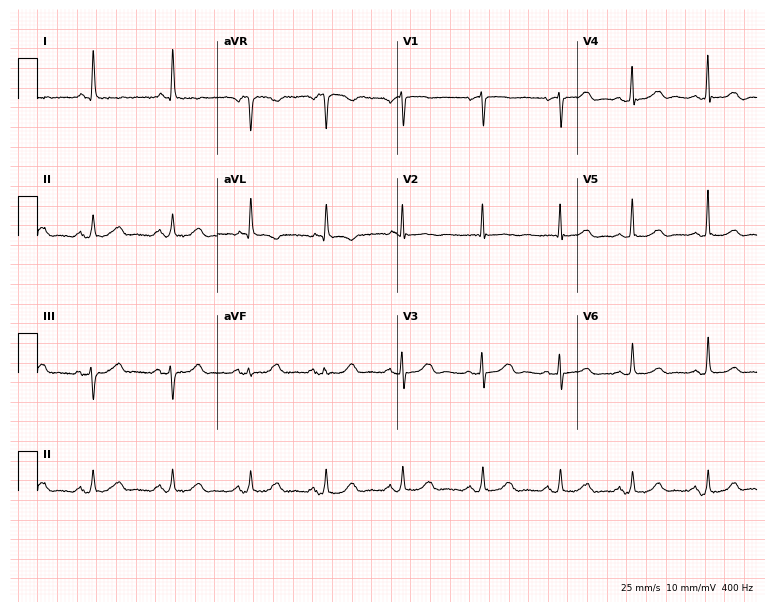
12-lead ECG from a woman, 84 years old (7.3-second recording at 400 Hz). No first-degree AV block, right bundle branch block (RBBB), left bundle branch block (LBBB), sinus bradycardia, atrial fibrillation (AF) or sinus tachycardia recorded for this tracing. Findings outside these six are not listed.